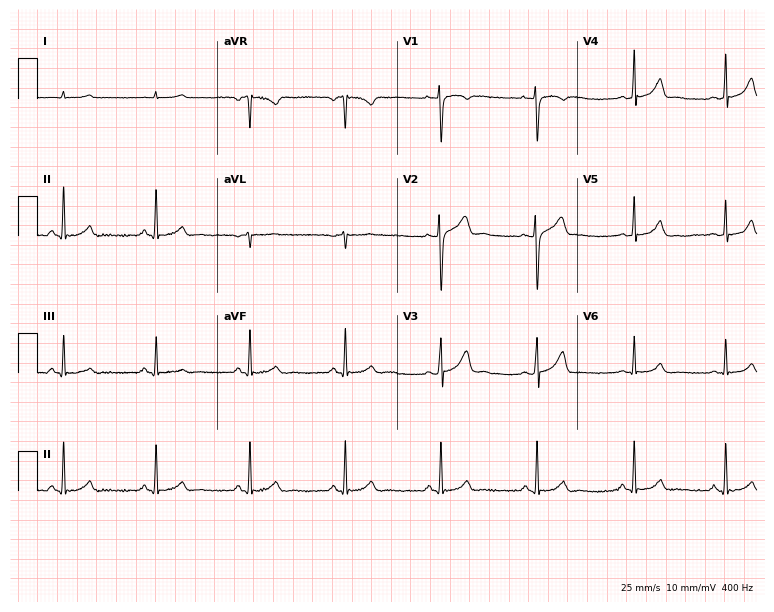
12-lead ECG from a female patient, 26 years old. No first-degree AV block, right bundle branch block, left bundle branch block, sinus bradycardia, atrial fibrillation or sinus tachycardia recorded for this tracing.